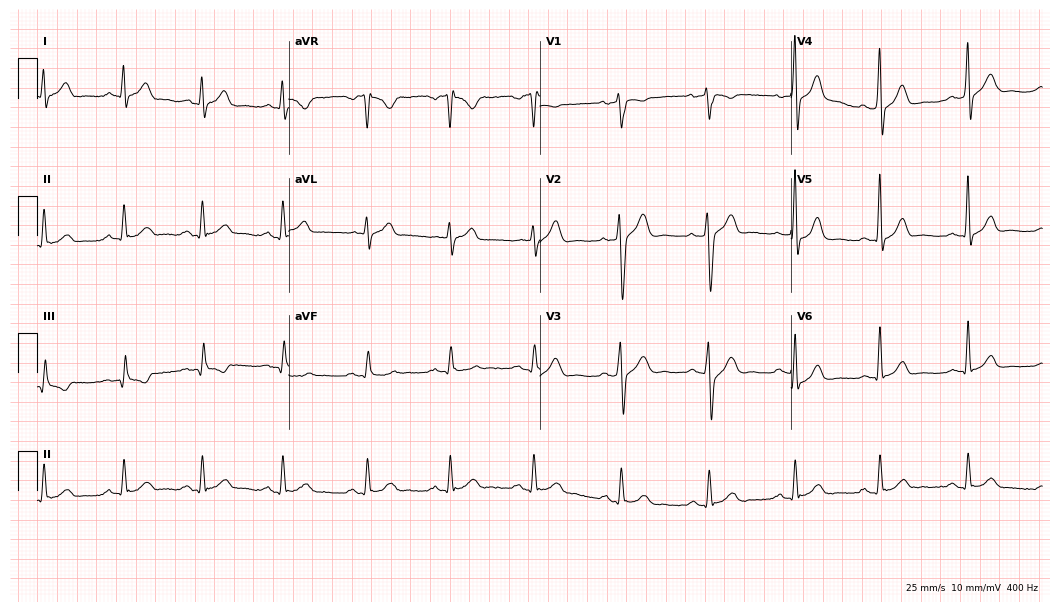
Electrocardiogram, a 31-year-old male patient. Of the six screened findings (first-degree AV block, right bundle branch block (RBBB), left bundle branch block (LBBB), sinus bradycardia, atrial fibrillation (AF), sinus tachycardia), none is recorded. Findings outside these six are not listed.